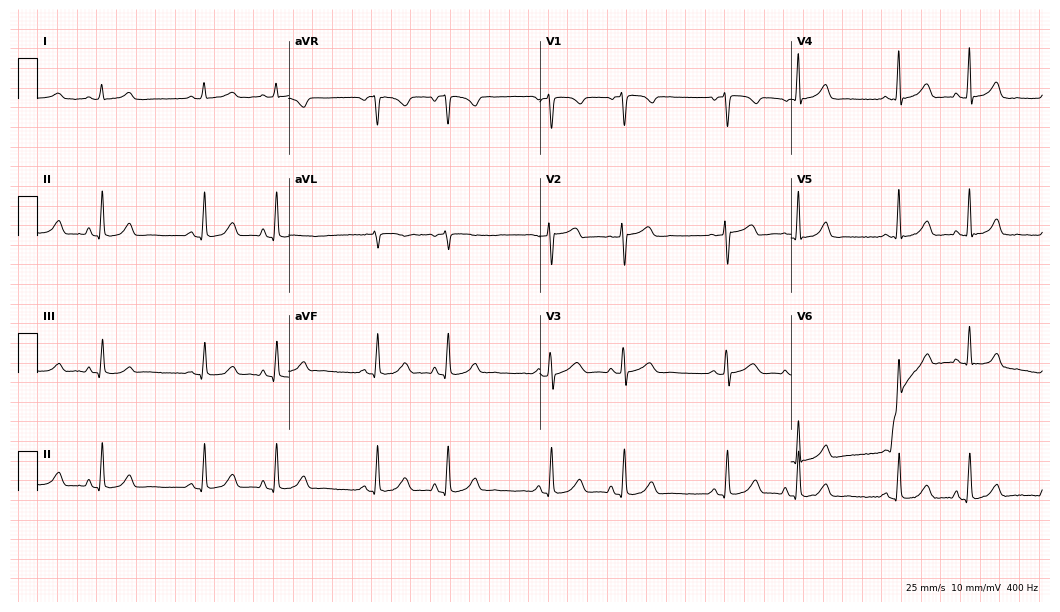
Electrocardiogram (10.2-second recording at 400 Hz), a female patient, 46 years old. Of the six screened findings (first-degree AV block, right bundle branch block (RBBB), left bundle branch block (LBBB), sinus bradycardia, atrial fibrillation (AF), sinus tachycardia), none is recorded. Other findings, if any, are not listed.